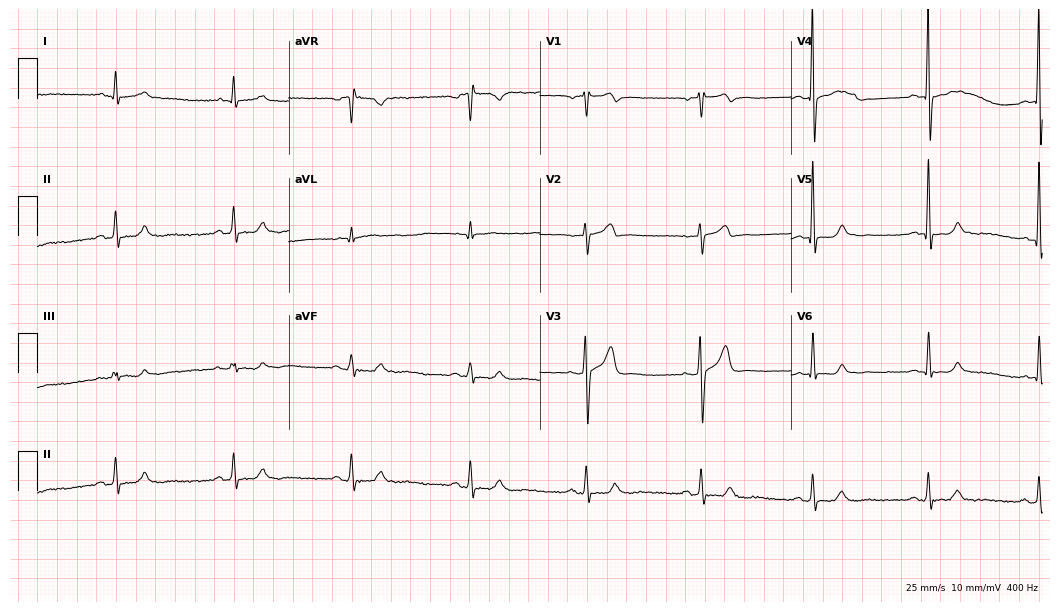
Electrocardiogram, a male patient, 56 years old. Interpretation includes sinus bradycardia (a sinus rate of 50 beats per minute or less).